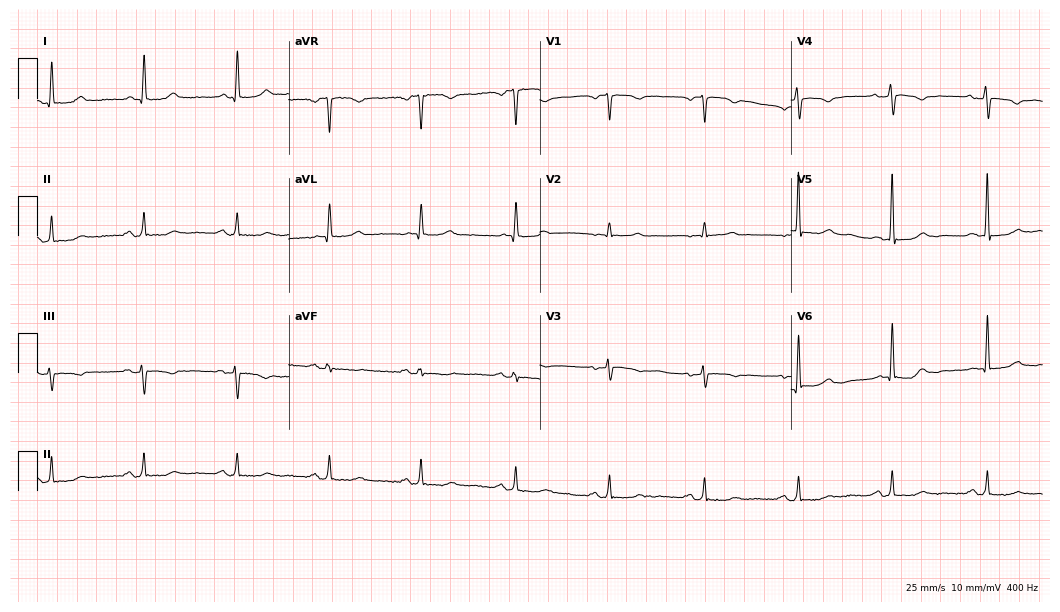
Resting 12-lead electrocardiogram. Patient: an 83-year-old woman. None of these six findings is recorded: first-degree AV block, right bundle branch block, left bundle branch block, sinus bradycardia, atrial fibrillation, sinus tachycardia. Findings outside these six are not listed.